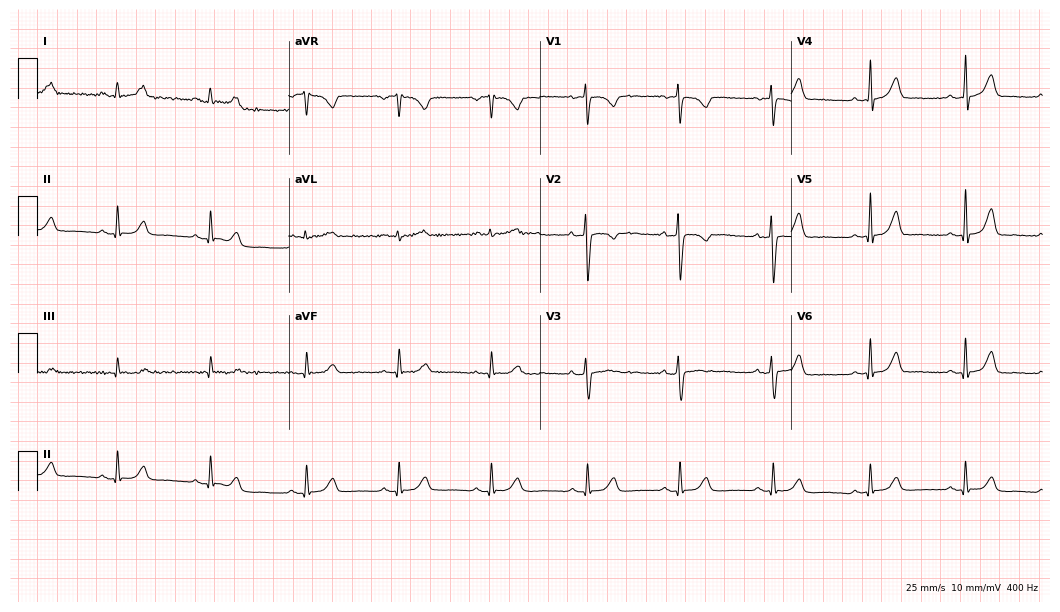
Resting 12-lead electrocardiogram (10.2-second recording at 400 Hz). Patient: a female, 37 years old. Read as a normal ECG.